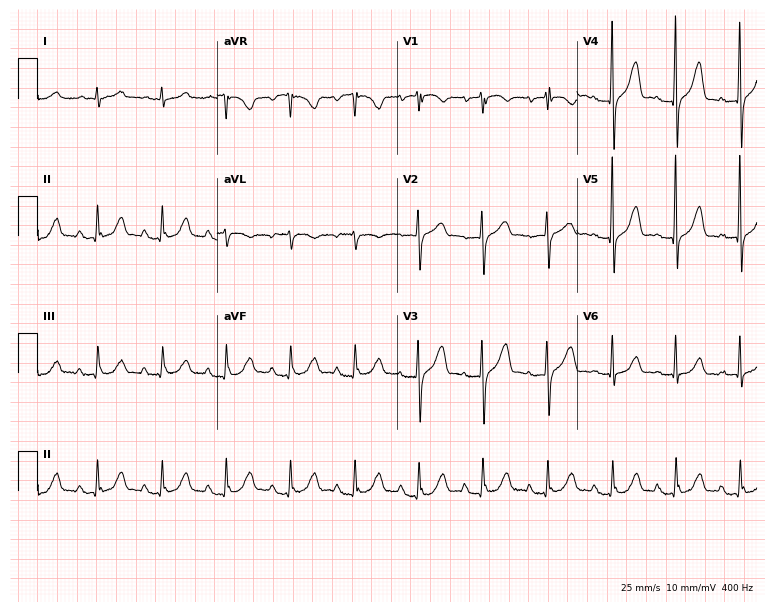
Standard 12-lead ECG recorded from a woman, 79 years old (7.3-second recording at 400 Hz). Read as a normal ECG.